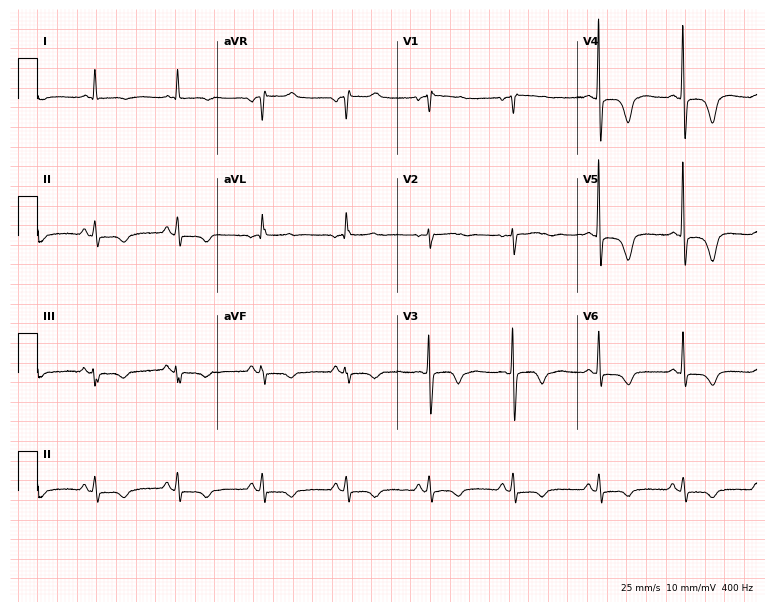
Standard 12-lead ECG recorded from a female patient, 68 years old (7.3-second recording at 400 Hz). None of these six findings is recorded: first-degree AV block, right bundle branch block, left bundle branch block, sinus bradycardia, atrial fibrillation, sinus tachycardia. Other findings, if any, are not listed.